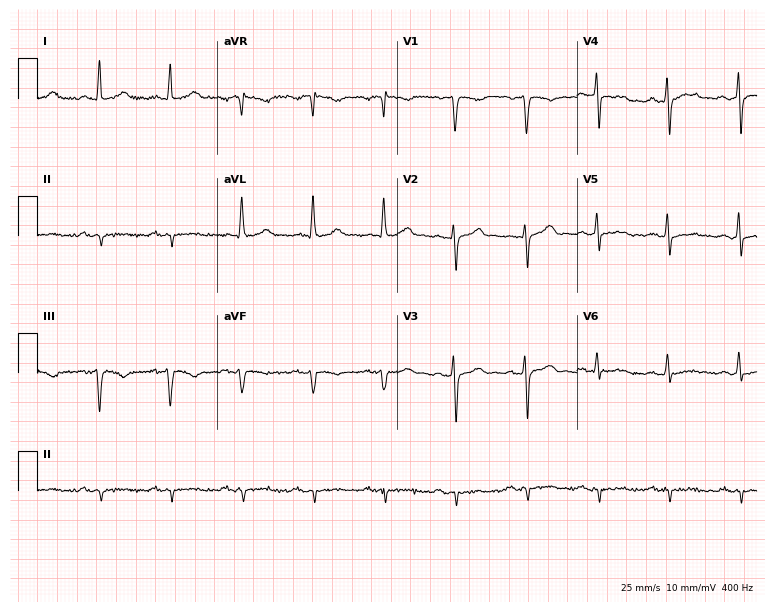
Electrocardiogram (7.3-second recording at 400 Hz), a 58-year-old man. Of the six screened findings (first-degree AV block, right bundle branch block (RBBB), left bundle branch block (LBBB), sinus bradycardia, atrial fibrillation (AF), sinus tachycardia), none is recorded. Only these six findings were labelled.